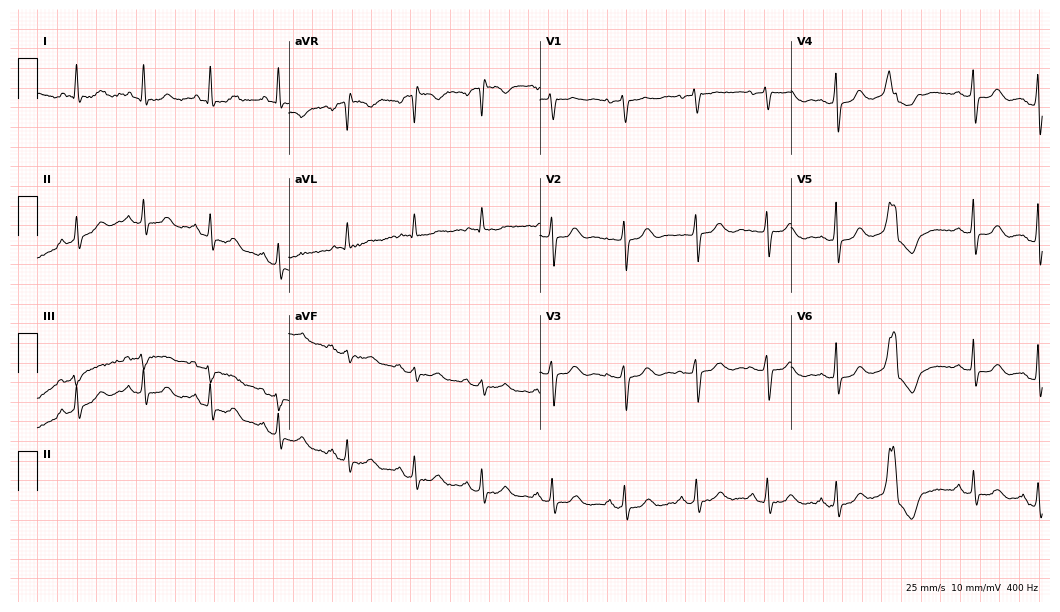
Resting 12-lead electrocardiogram (10.2-second recording at 400 Hz). Patient: a 71-year-old woman. None of these six findings is recorded: first-degree AV block, right bundle branch block, left bundle branch block, sinus bradycardia, atrial fibrillation, sinus tachycardia.